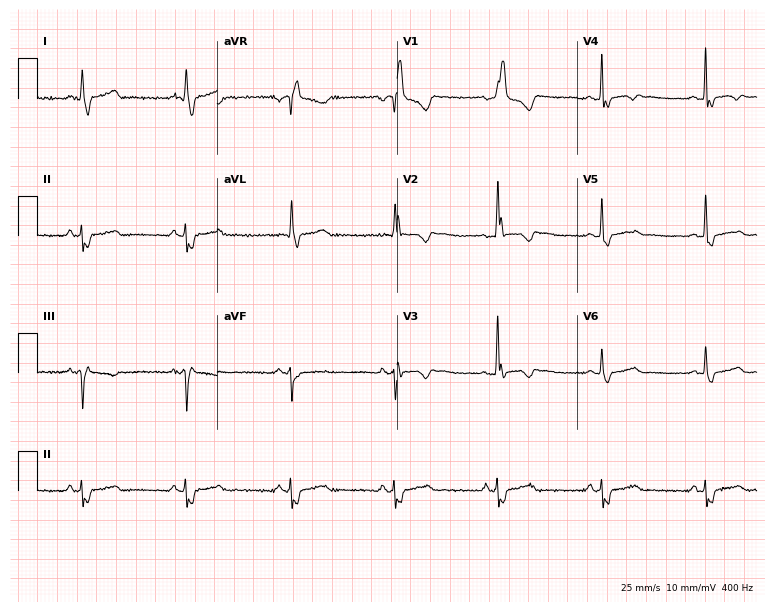
12-lead ECG from a 59-year-old man. Shows right bundle branch block.